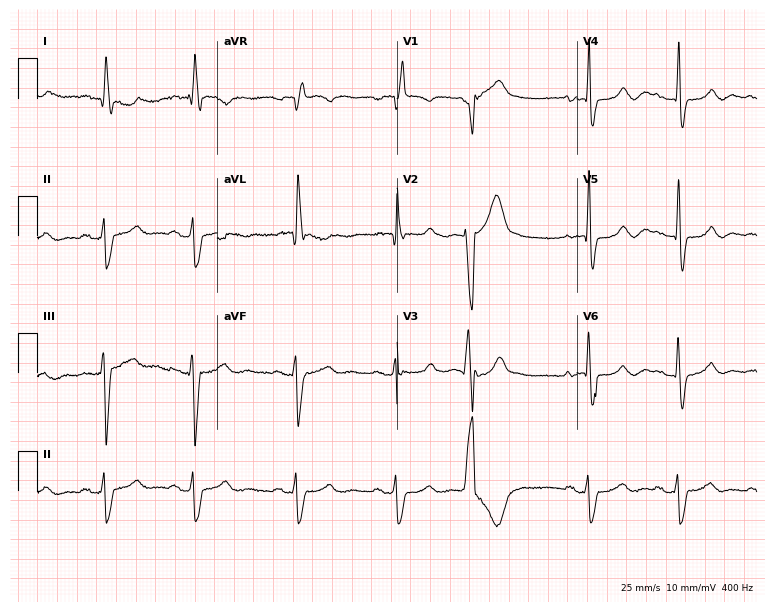
12-lead ECG from a woman, 79 years old. Shows right bundle branch block (RBBB).